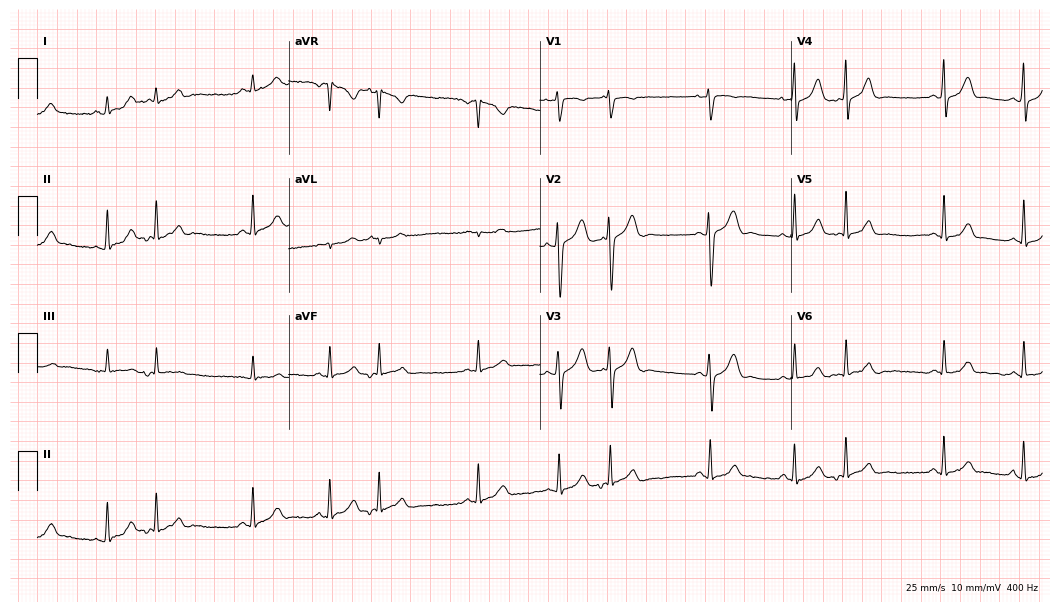
12-lead ECG from a female, 21 years old. Screened for six findings — first-degree AV block, right bundle branch block, left bundle branch block, sinus bradycardia, atrial fibrillation, sinus tachycardia — none is recorded.